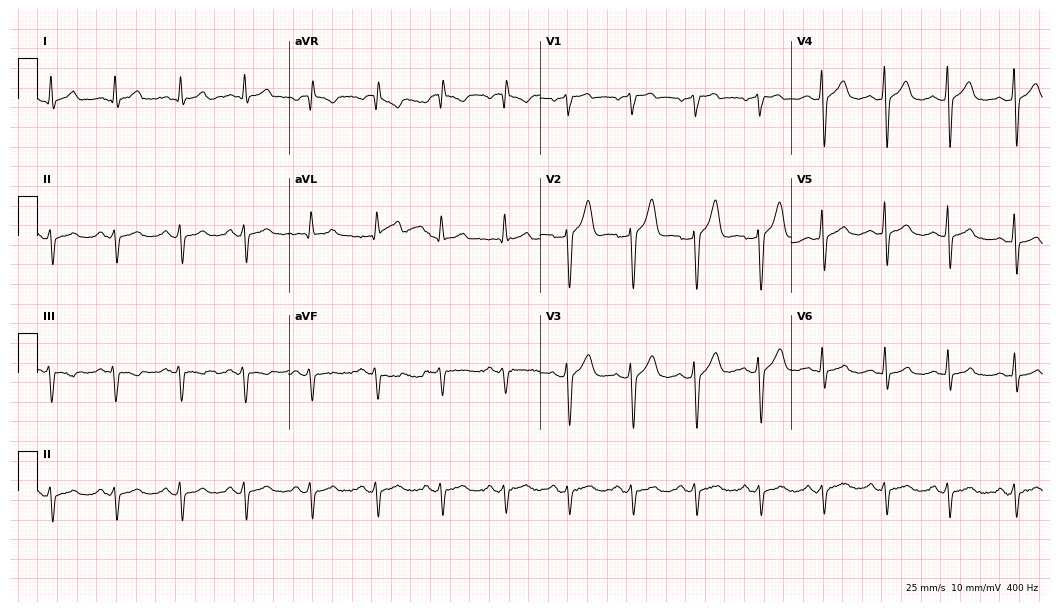
12-lead ECG (10.2-second recording at 400 Hz) from a male, 65 years old. Screened for six findings — first-degree AV block, right bundle branch block, left bundle branch block, sinus bradycardia, atrial fibrillation, sinus tachycardia — none is recorded. Findings outside these six are not listed.